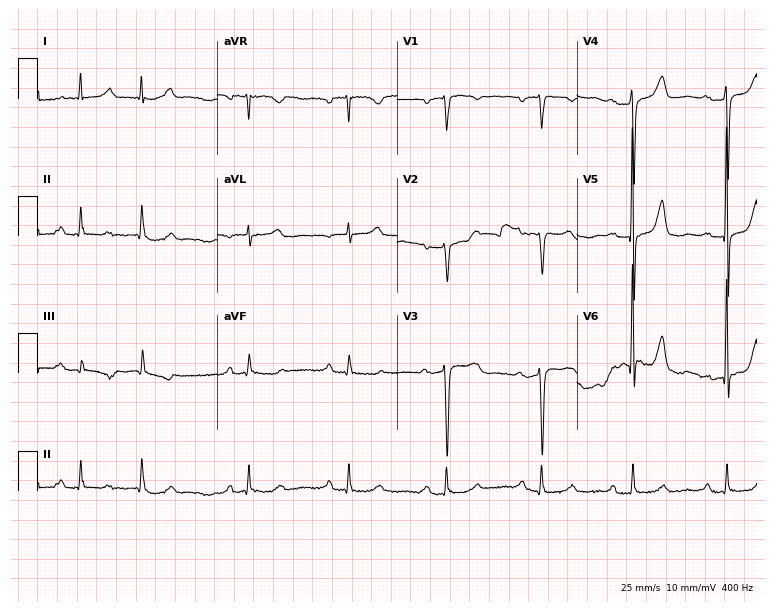
Standard 12-lead ECG recorded from a 74-year-old female. None of these six findings is recorded: first-degree AV block, right bundle branch block, left bundle branch block, sinus bradycardia, atrial fibrillation, sinus tachycardia. Other findings, if any, are not listed.